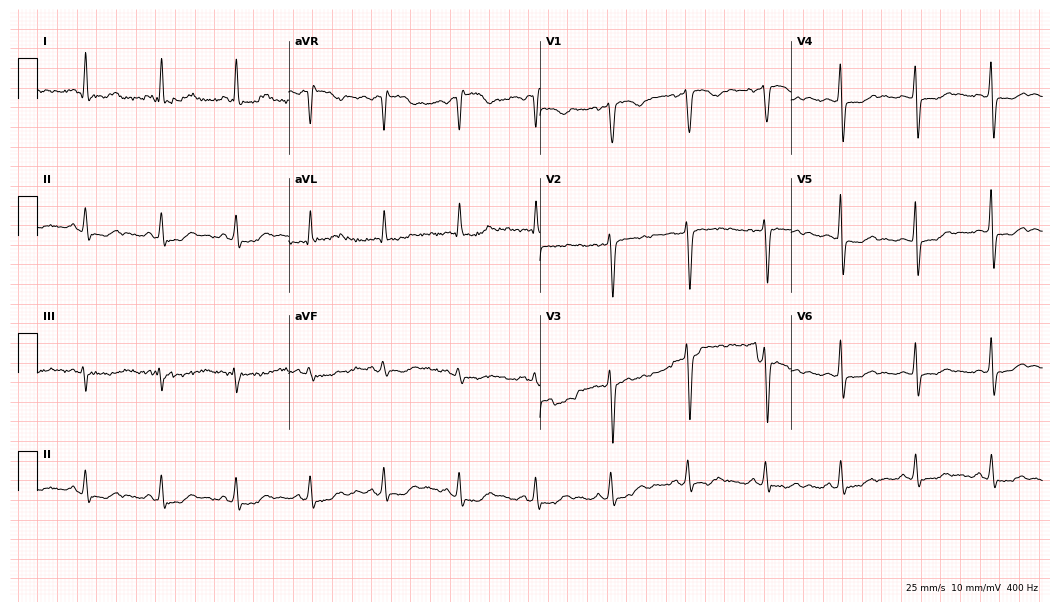
ECG (10.2-second recording at 400 Hz) — a female, 45 years old. Screened for six findings — first-degree AV block, right bundle branch block, left bundle branch block, sinus bradycardia, atrial fibrillation, sinus tachycardia — none is recorded.